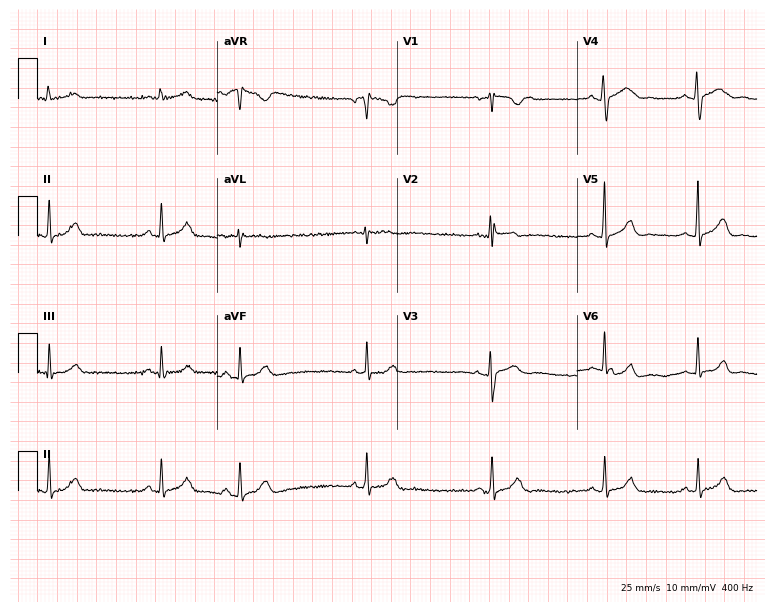
Resting 12-lead electrocardiogram. Patient: a female, 18 years old. None of these six findings is recorded: first-degree AV block, right bundle branch block, left bundle branch block, sinus bradycardia, atrial fibrillation, sinus tachycardia. Other findings, if any, are not listed.